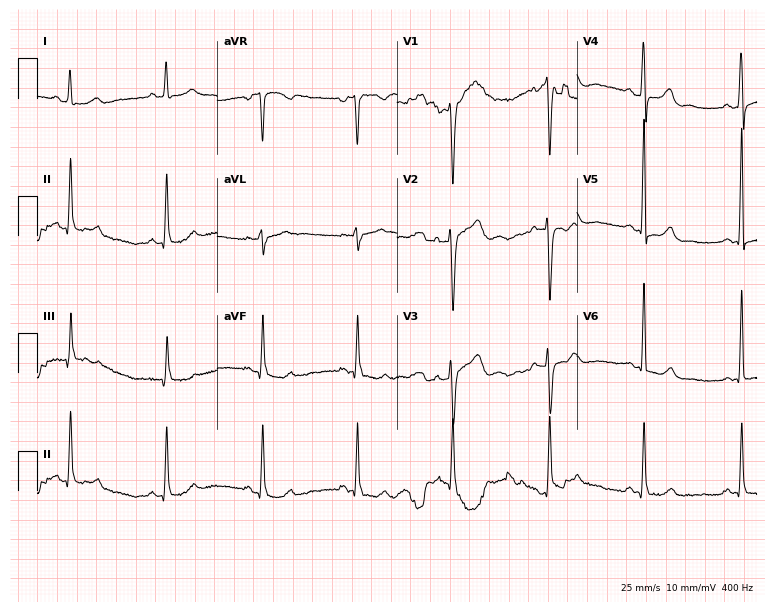
Electrocardiogram, a 33-year-old female. Of the six screened findings (first-degree AV block, right bundle branch block, left bundle branch block, sinus bradycardia, atrial fibrillation, sinus tachycardia), none is recorded.